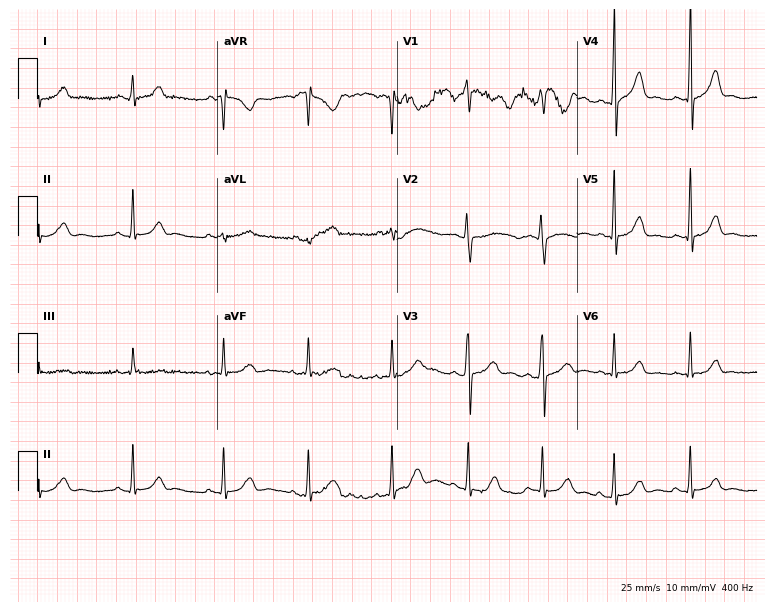
Electrocardiogram, a 25-year-old female patient. Overall reading on record: normal ECG.